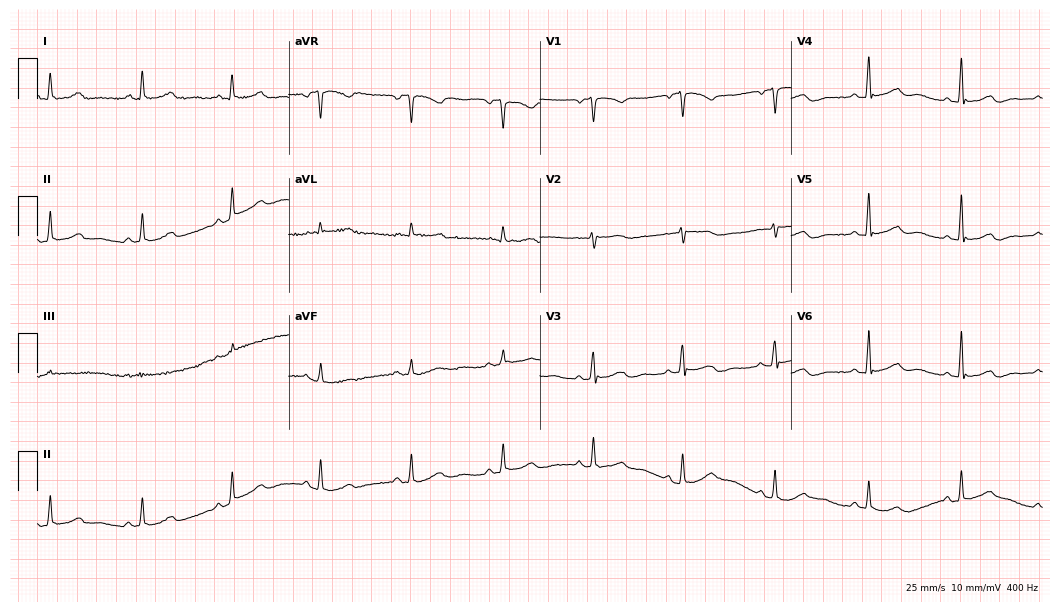
Standard 12-lead ECG recorded from a 63-year-old woman (10.2-second recording at 400 Hz). Read as a normal ECG.